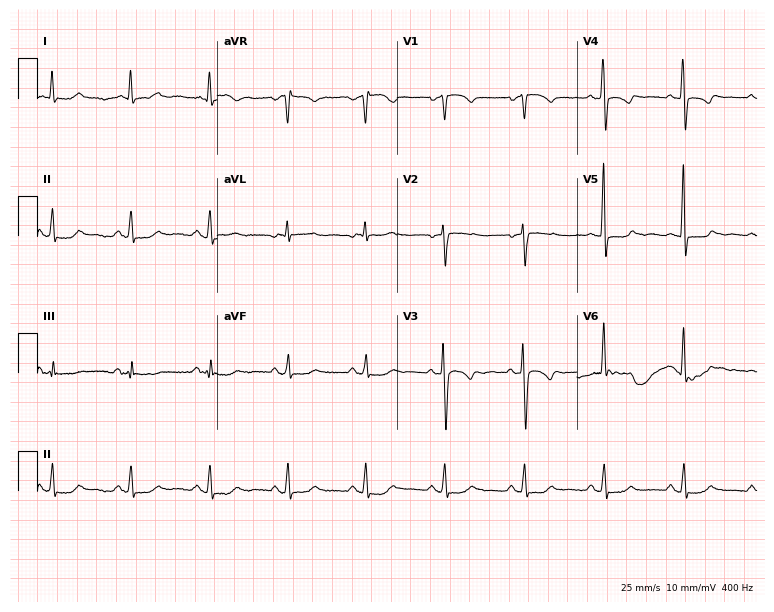
Resting 12-lead electrocardiogram (7.3-second recording at 400 Hz). Patient: a 77-year-old female. None of these six findings is recorded: first-degree AV block, right bundle branch block, left bundle branch block, sinus bradycardia, atrial fibrillation, sinus tachycardia.